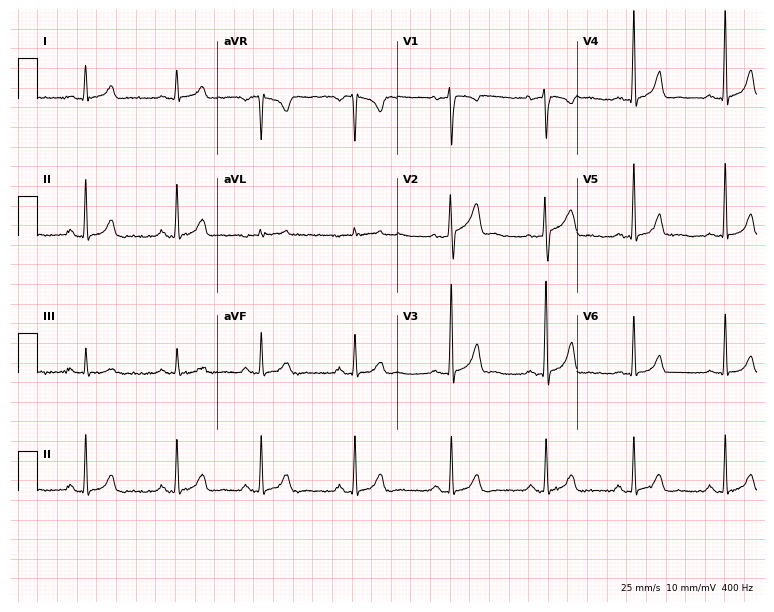
12-lead ECG from a 28-year-old male patient. Screened for six findings — first-degree AV block, right bundle branch block, left bundle branch block, sinus bradycardia, atrial fibrillation, sinus tachycardia — none is recorded. Only these six findings were labelled.